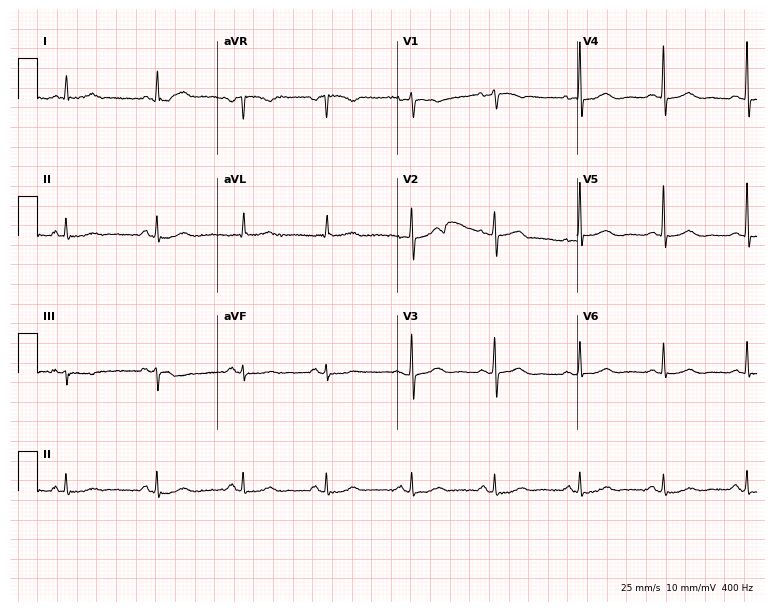
12-lead ECG from a female, 68 years old. Recorded interpretation: within normal limits.